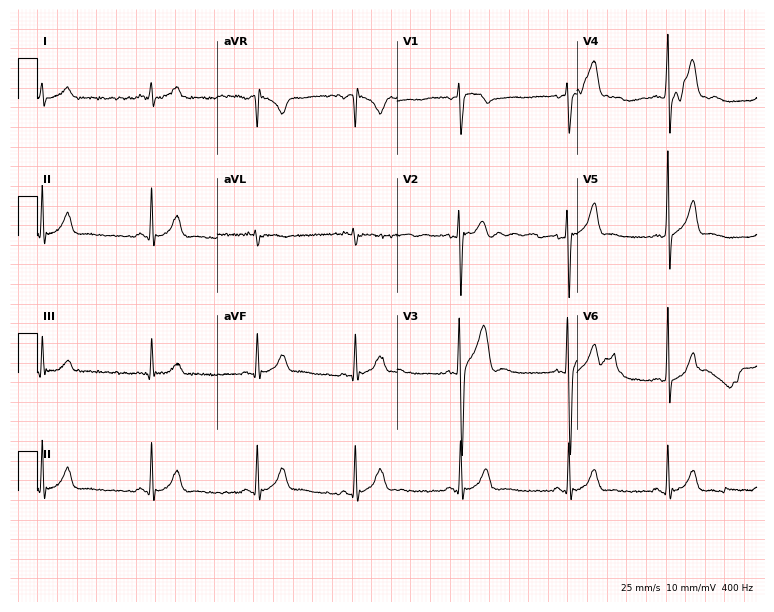
Resting 12-lead electrocardiogram. Patient: a man, 17 years old. Read as a normal ECG.